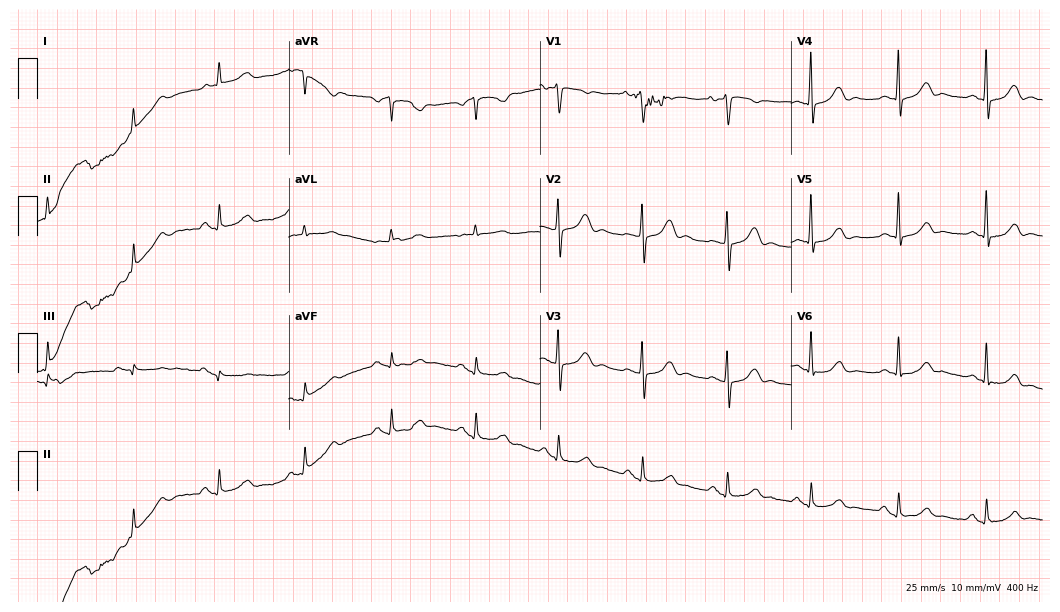
Standard 12-lead ECG recorded from a woman, 71 years old (10.2-second recording at 400 Hz). None of these six findings is recorded: first-degree AV block, right bundle branch block, left bundle branch block, sinus bradycardia, atrial fibrillation, sinus tachycardia. Other findings, if any, are not listed.